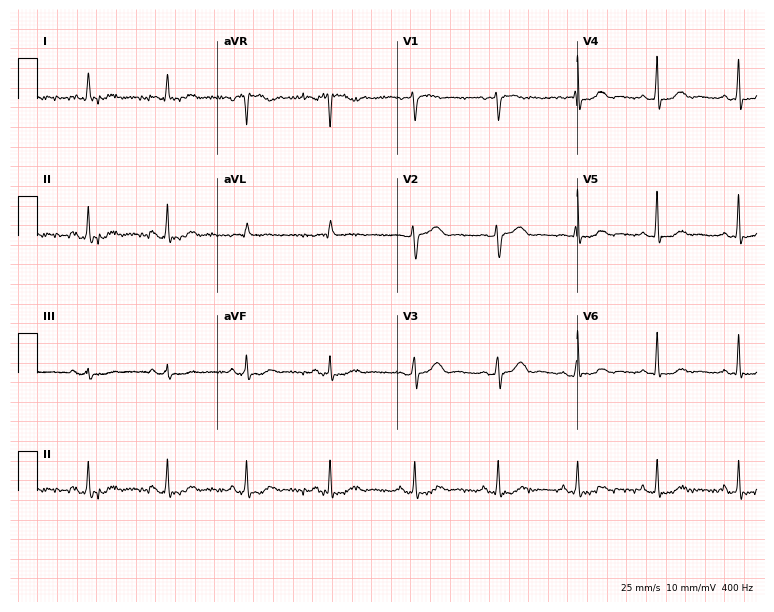
Resting 12-lead electrocardiogram. Patient: a woman, 58 years old. Read as a normal ECG.